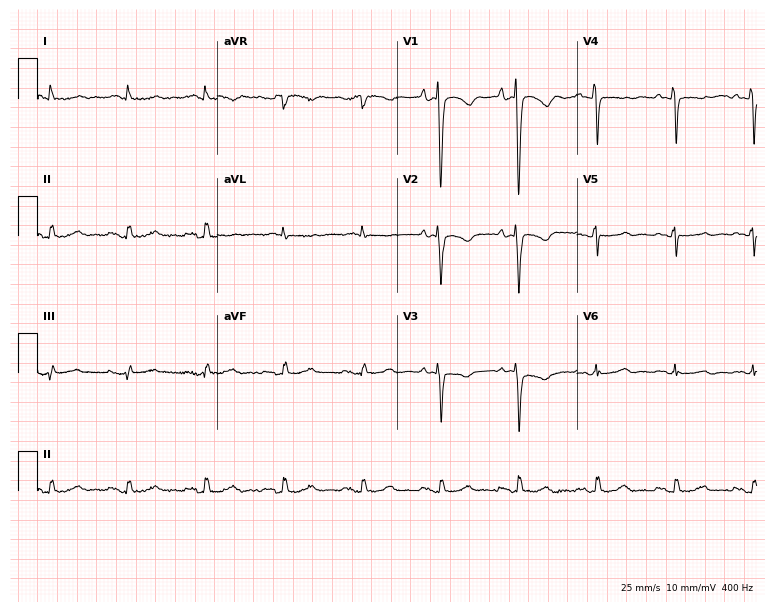
Standard 12-lead ECG recorded from a 63-year-old male (7.3-second recording at 400 Hz). None of these six findings is recorded: first-degree AV block, right bundle branch block, left bundle branch block, sinus bradycardia, atrial fibrillation, sinus tachycardia.